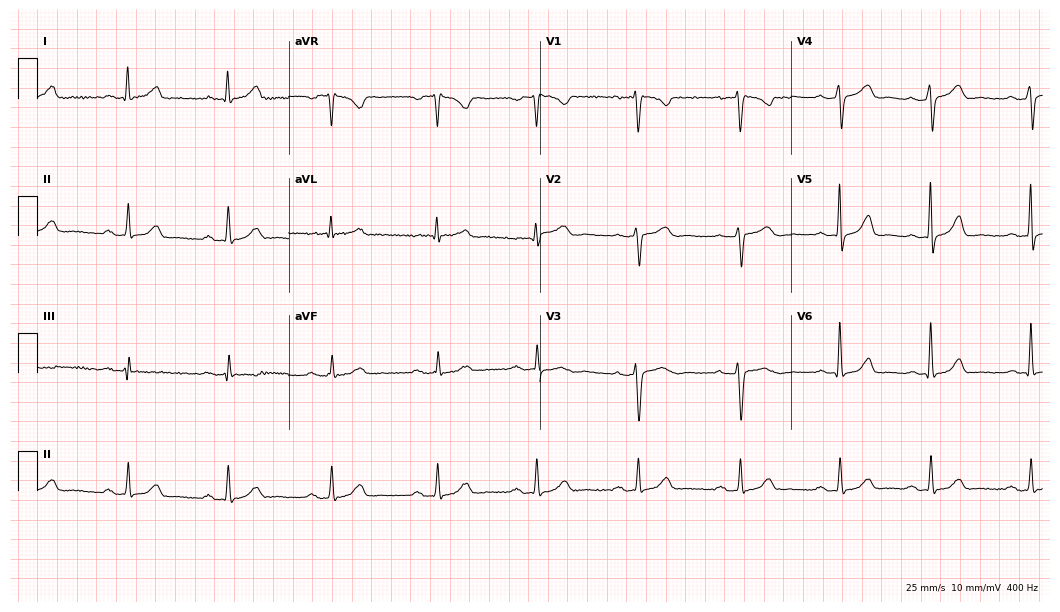
ECG — a female, 36 years old. Labelled as a normal ECG.